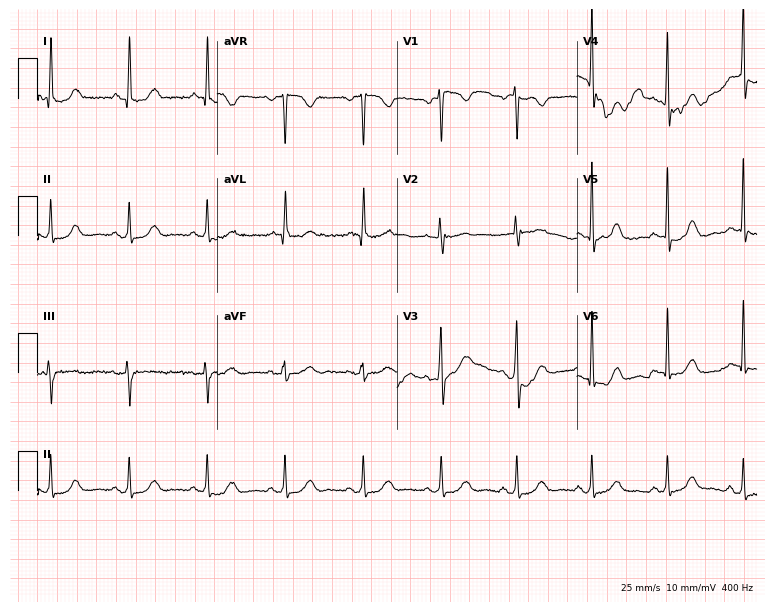
ECG (7.3-second recording at 400 Hz) — a 72-year-old female patient. Labelled as a normal ECG.